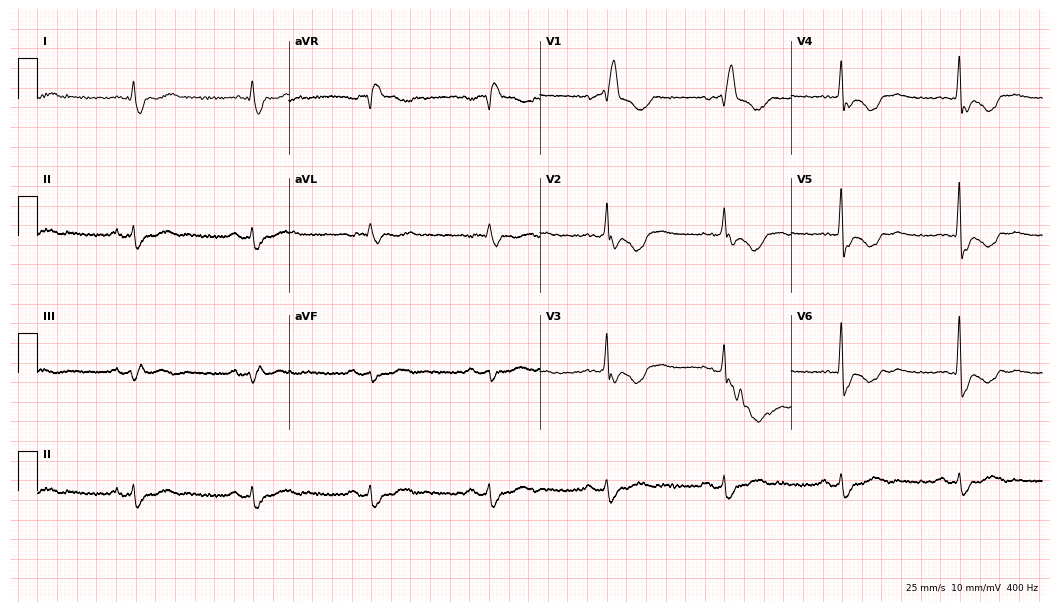
12-lead ECG from a woman, 68 years old. Findings include right bundle branch block (RBBB).